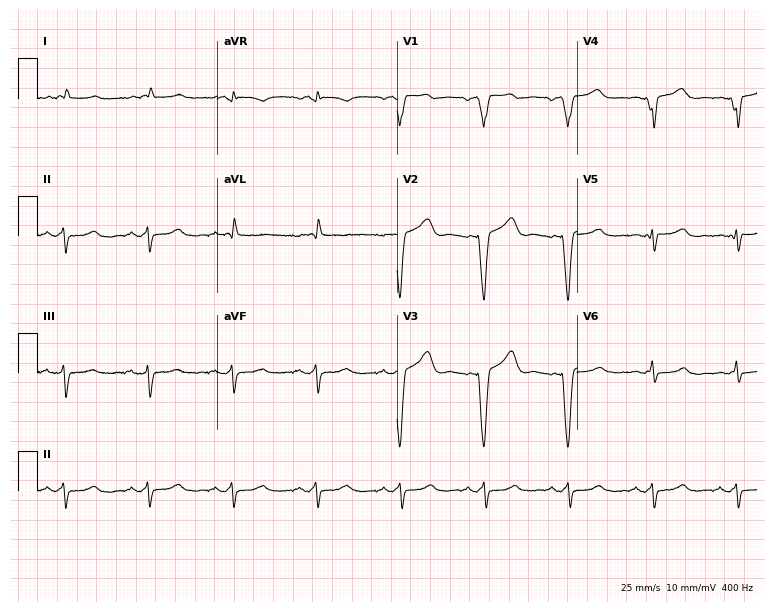
Standard 12-lead ECG recorded from a female patient, 49 years old (7.3-second recording at 400 Hz). None of these six findings is recorded: first-degree AV block, right bundle branch block, left bundle branch block, sinus bradycardia, atrial fibrillation, sinus tachycardia.